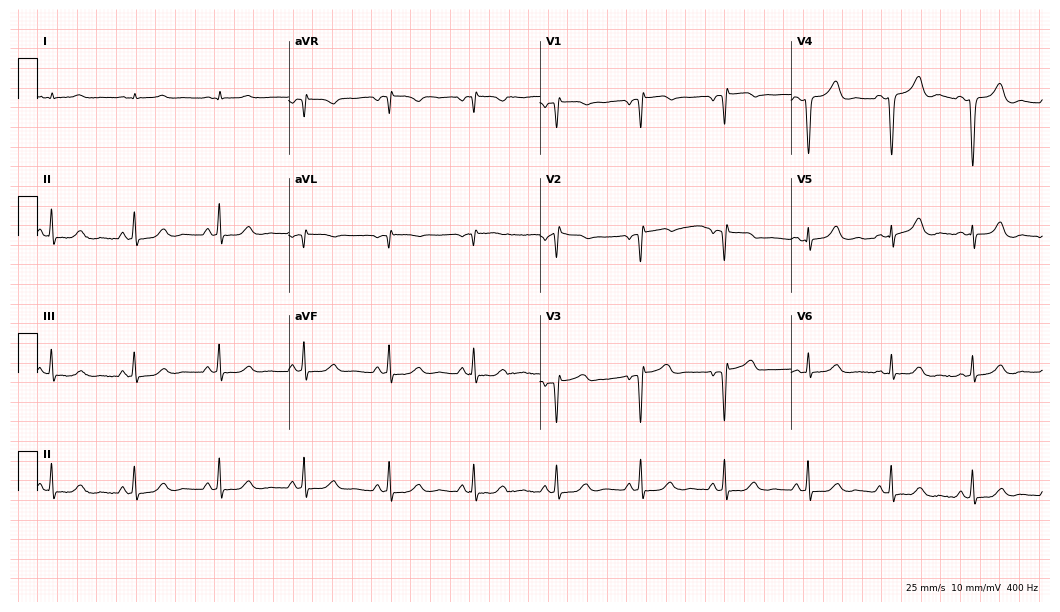
Standard 12-lead ECG recorded from a 52-year-old female (10.2-second recording at 400 Hz). None of these six findings is recorded: first-degree AV block, right bundle branch block (RBBB), left bundle branch block (LBBB), sinus bradycardia, atrial fibrillation (AF), sinus tachycardia. Findings outside these six are not listed.